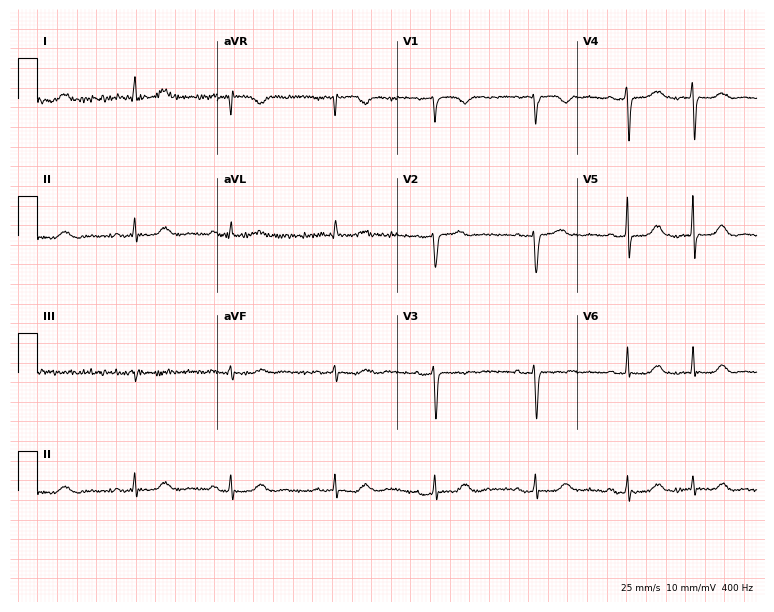
12-lead ECG (7.3-second recording at 400 Hz) from a 74-year-old female. Screened for six findings — first-degree AV block, right bundle branch block, left bundle branch block, sinus bradycardia, atrial fibrillation, sinus tachycardia — none is recorded. Other findings, if any, are not listed.